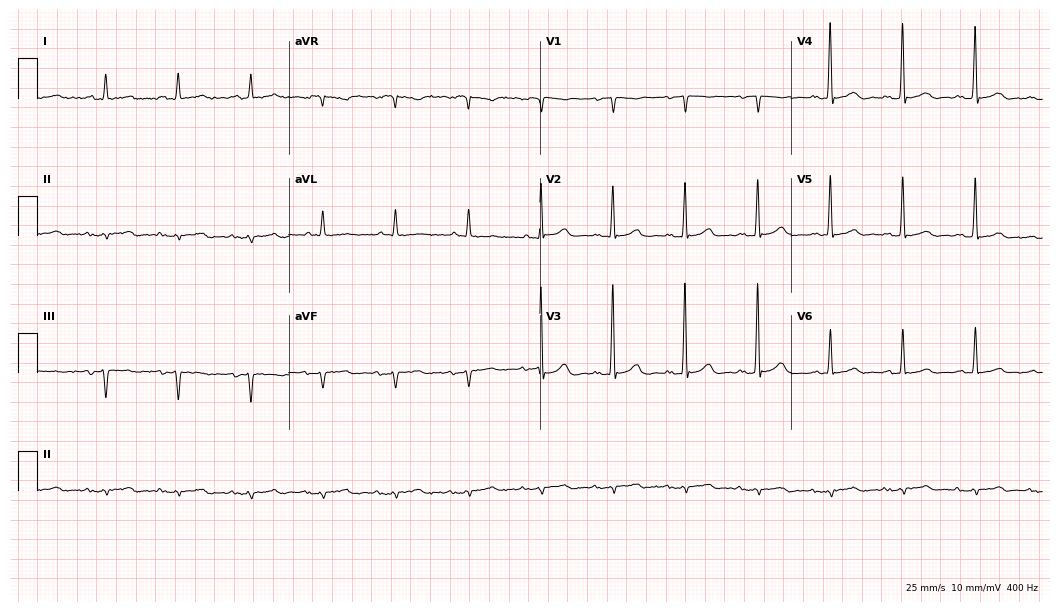
ECG (10.2-second recording at 400 Hz) — a 78-year-old male. Screened for six findings — first-degree AV block, right bundle branch block, left bundle branch block, sinus bradycardia, atrial fibrillation, sinus tachycardia — none is recorded. Findings outside these six are not listed.